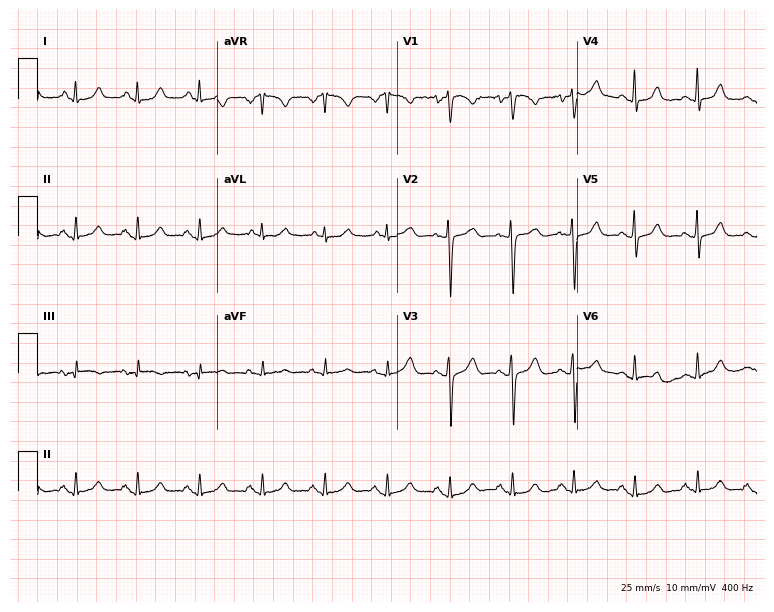
12-lead ECG from a 36-year-old female patient. Screened for six findings — first-degree AV block, right bundle branch block (RBBB), left bundle branch block (LBBB), sinus bradycardia, atrial fibrillation (AF), sinus tachycardia — none is recorded. Other findings, if any, are not listed.